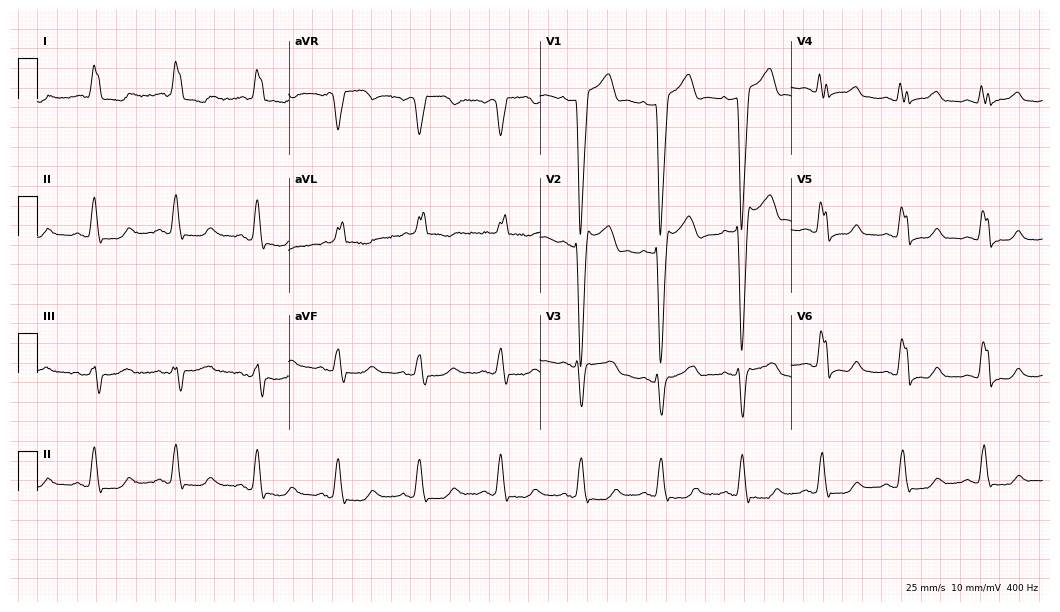
12-lead ECG from an 83-year-old male patient. Shows left bundle branch block.